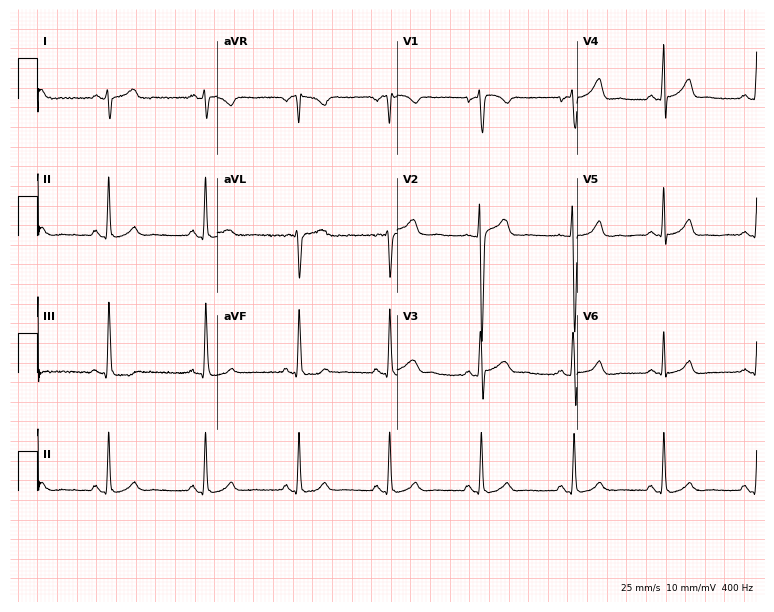
Electrocardiogram, a 22-year-old man. Overall reading on record: normal ECG.